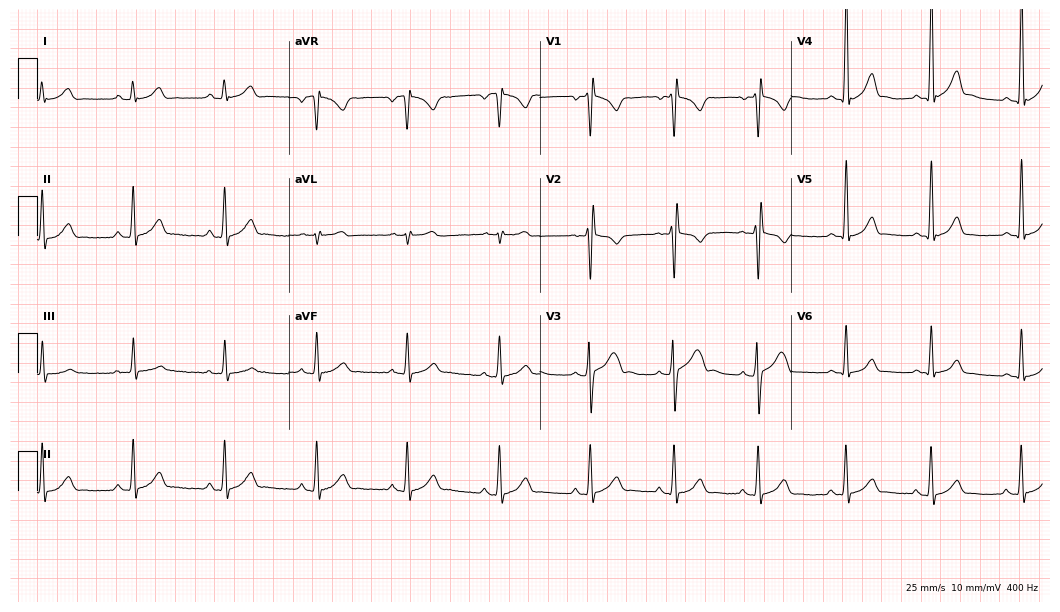
Standard 12-lead ECG recorded from a 17-year-old male. None of these six findings is recorded: first-degree AV block, right bundle branch block (RBBB), left bundle branch block (LBBB), sinus bradycardia, atrial fibrillation (AF), sinus tachycardia. Findings outside these six are not listed.